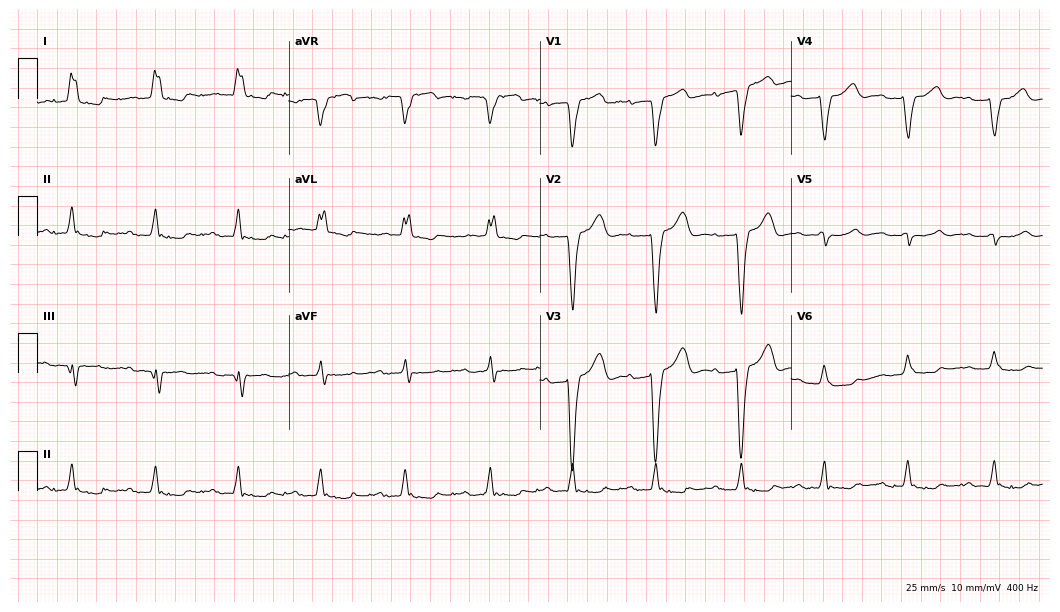
12-lead ECG from a female patient, 84 years old (10.2-second recording at 400 Hz). No first-degree AV block, right bundle branch block (RBBB), left bundle branch block (LBBB), sinus bradycardia, atrial fibrillation (AF) or sinus tachycardia recorded for this tracing.